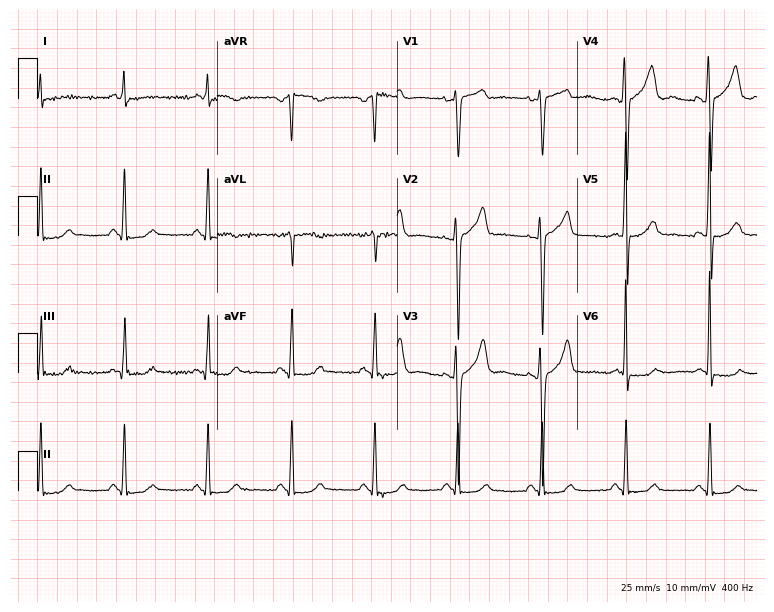
Electrocardiogram, a male patient, 46 years old. Of the six screened findings (first-degree AV block, right bundle branch block, left bundle branch block, sinus bradycardia, atrial fibrillation, sinus tachycardia), none is recorded.